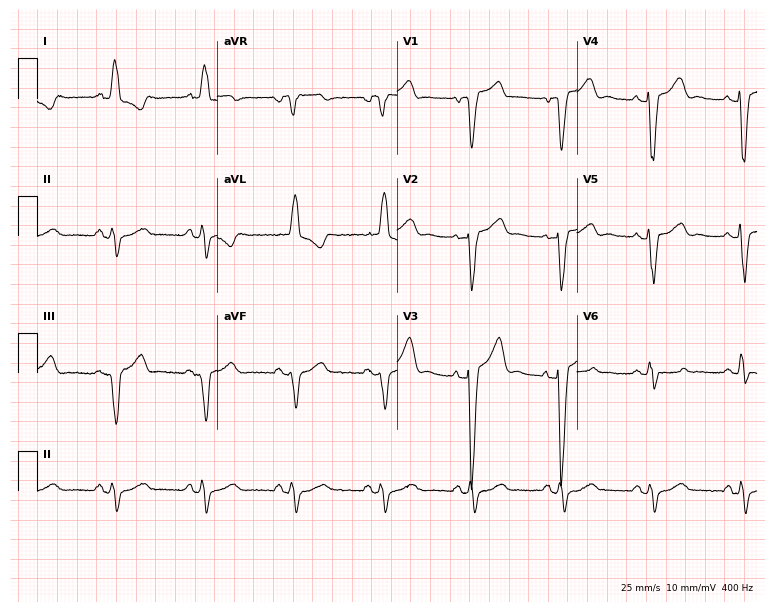
Electrocardiogram (7.3-second recording at 400 Hz), a 78-year-old woman. Interpretation includes left bundle branch block.